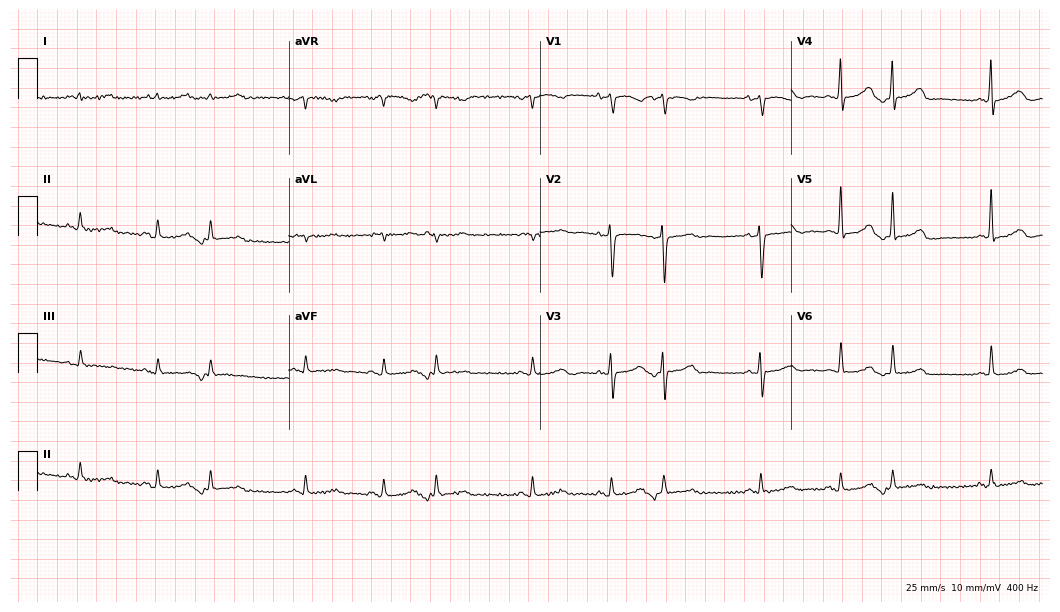
12-lead ECG from a female, 83 years old. Screened for six findings — first-degree AV block, right bundle branch block, left bundle branch block, sinus bradycardia, atrial fibrillation, sinus tachycardia — none is recorded.